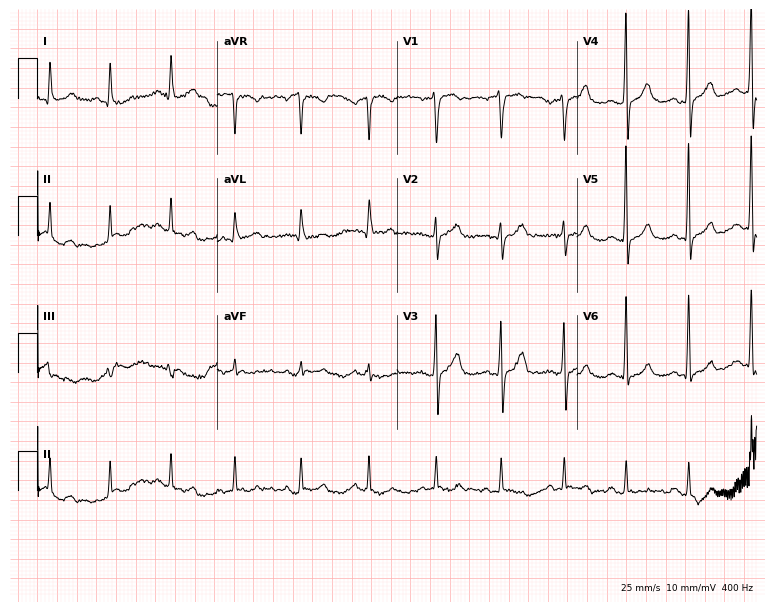
Resting 12-lead electrocardiogram (7.3-second recording at 400 Hz). Patient: a man, 47 years old. None of these six findings is recorded: first-degree AV block, right bundle branch block, left bundle branch block, sinus bradycardia, atrial fibrillation, sinus tachycardia. Other findings, if any, are not listed.